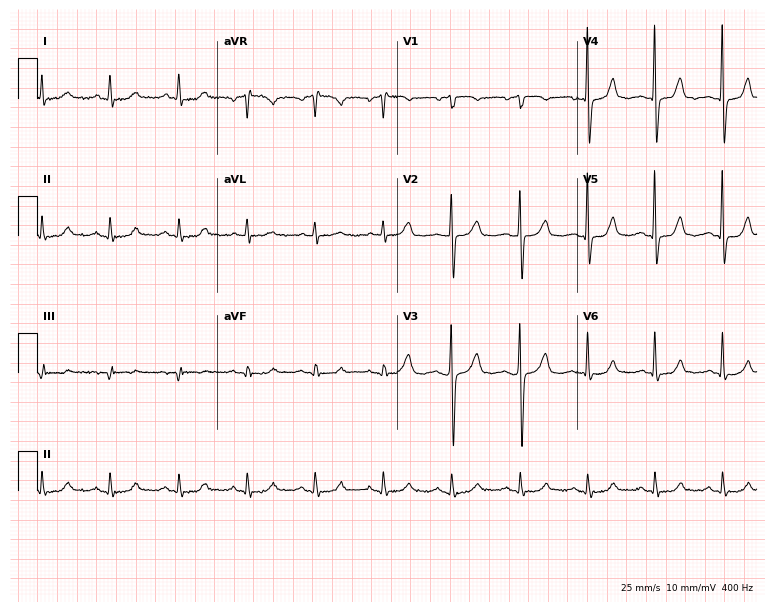
12-lead ECG from a female patient, 69 years old (7.3-second recording at 400 Hz). Recorded interpretation: within normal limits.